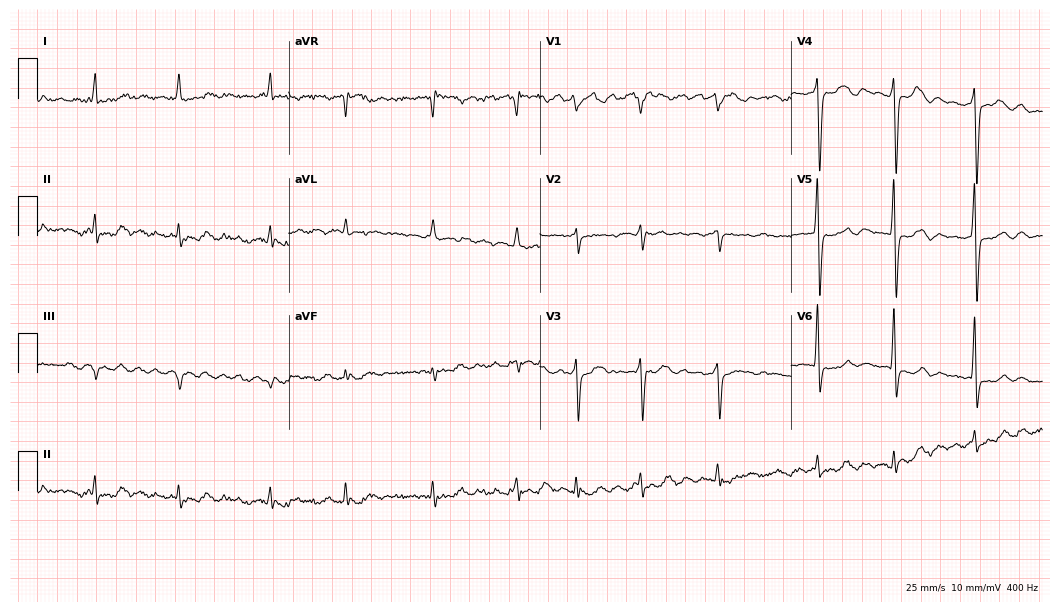
12-lead ECG from a man, 79 years old (10.2-second recording at 400 Hz). Shows atrial fibrillation.